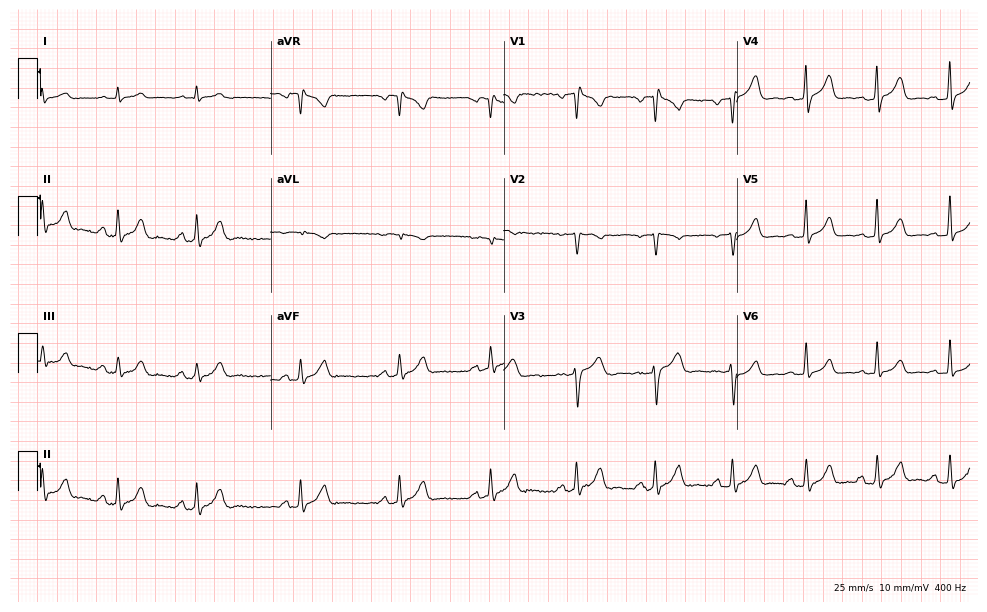
Electrocardiogram (9.5-second recording at 400 Hz), a 42-year-old female patient. Overall reading on record: normal ECG.